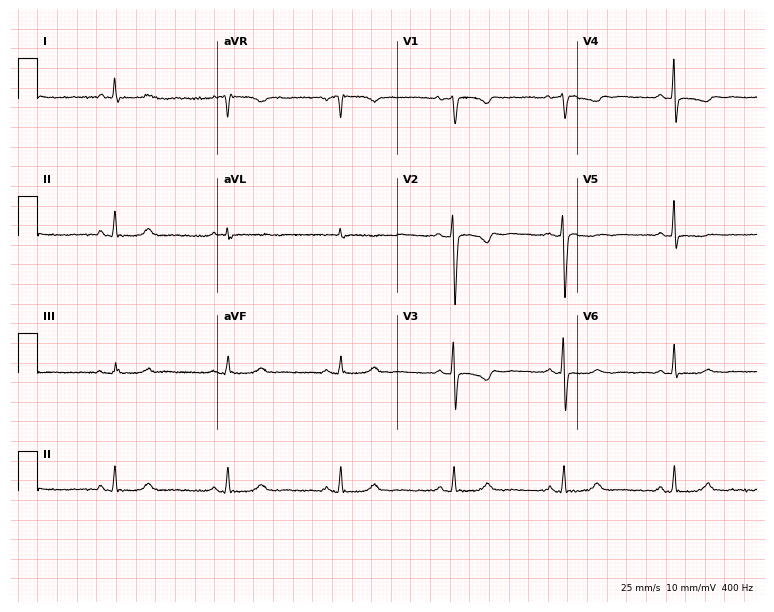
12-lead ECG from a 49-year-old woman (7.3-second recording at 400 Hz). Recorded interpretation: within normal limits.